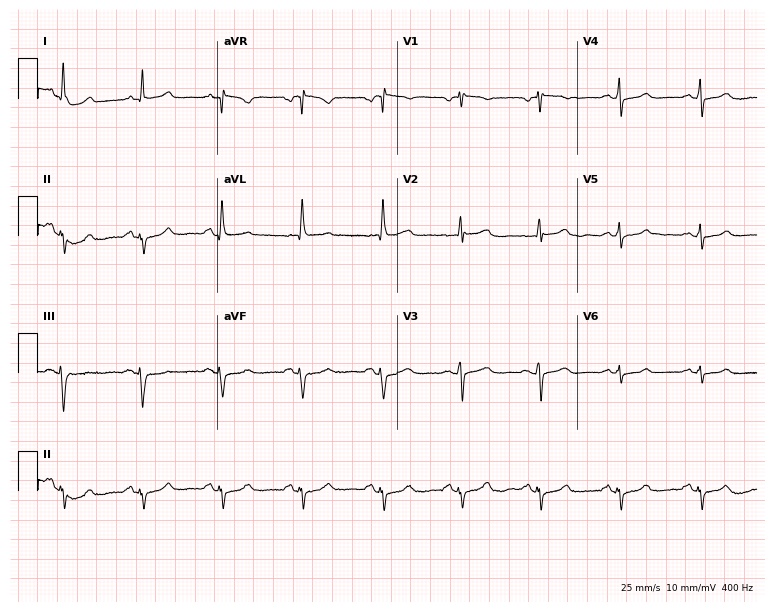
12-lead ECG from a female, 57 years old. No first-degree AV block, right bundle branch block (RBBB), left bundle branch block (LBBB), sinus bradycardia, atrial fibrillation (AF) or sinus tachycardia recorded for this tracing.